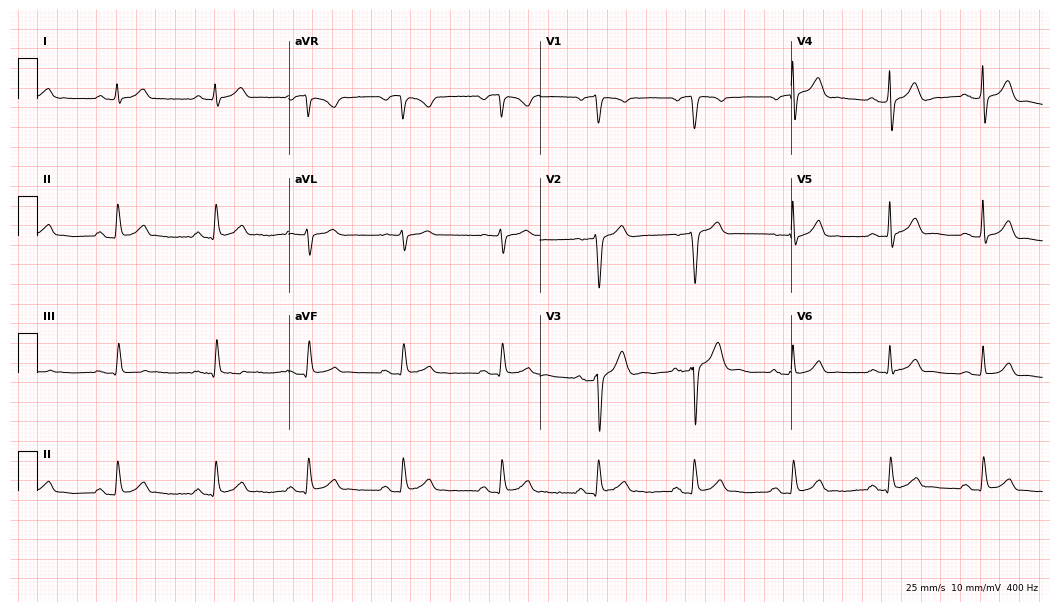
12-lead ECG from a 57-year-old male patient. Labelled as a normal ECG.